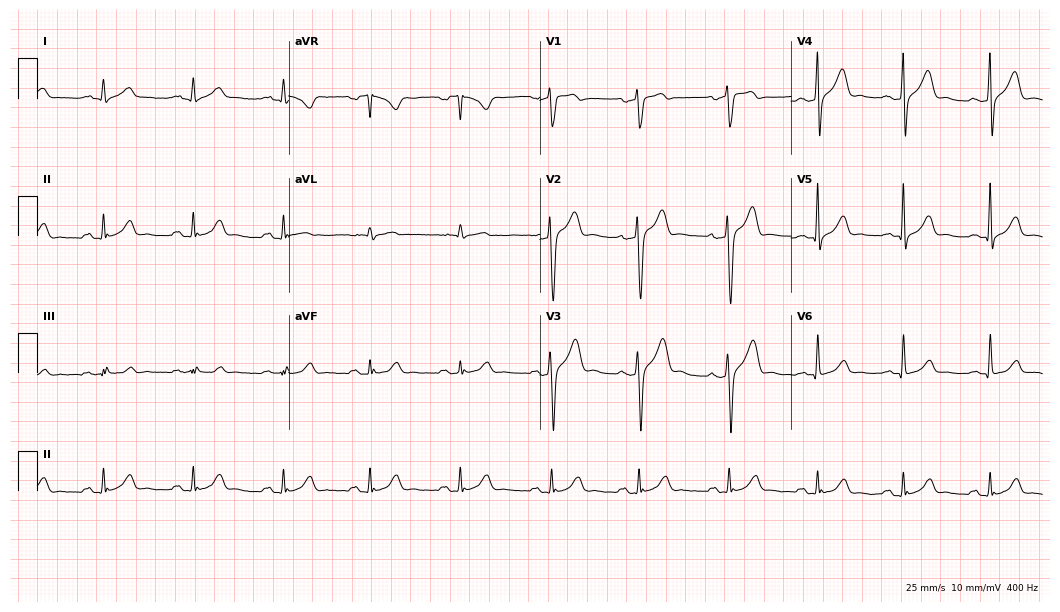
ECG (10.2-second recording at 400 Hz) — a female patient, 28 years old. Labelled as a normal ECG.